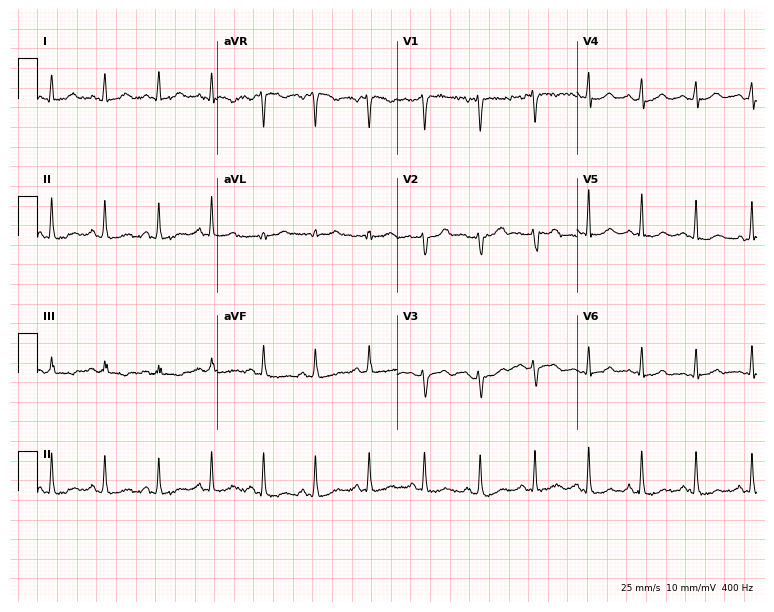
Resting 12-lead electrocardiogram (7.3-second recording at 400 Hz). Patient: a woman, 29 years old. None of these six findings is recorded: first-degree AV block, right bundle branch block (RBBB), left bundle branch block (LBBB), sinus bradycardia, atrial fibrillation (AF), sinus tachycardia. Findings outside these six are not listed.